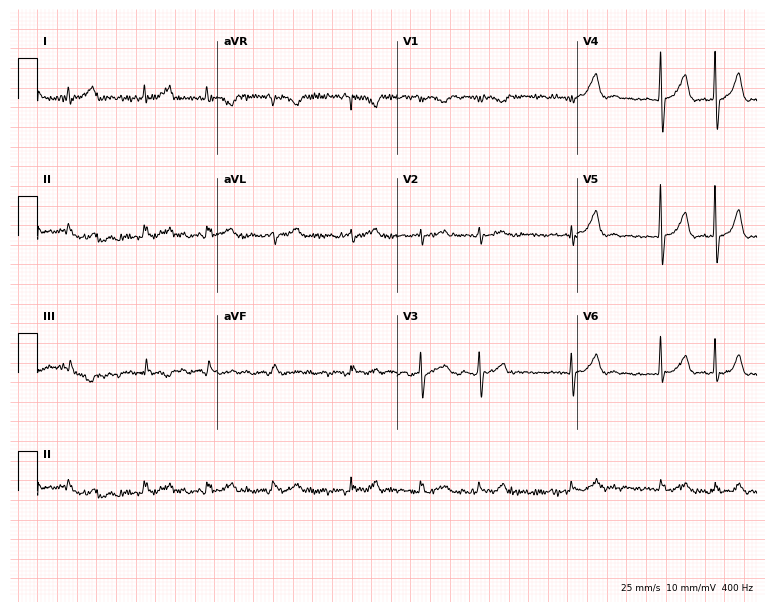
12-lead ECG (7.3-second recording at 400 Hz) from a woman, 85 years old. Findings include atrial fibrillation.